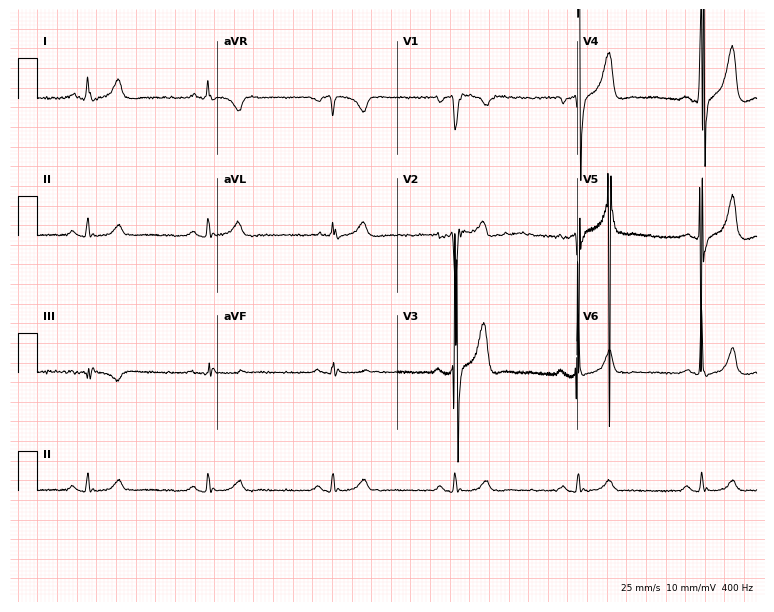
12-lead ECG from a male patient, 47 years old. Shows sinus bradycardia (a sinus rate of 50 beats per minute or less).